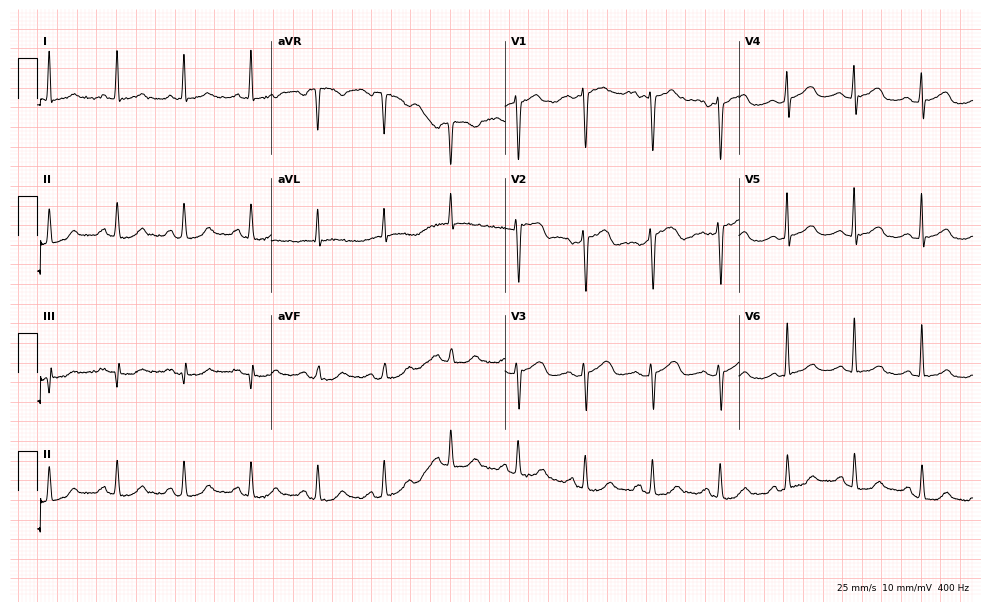
Electrocardiogram, a female patient, 57 years old. Overall reading on record: normal ECG.